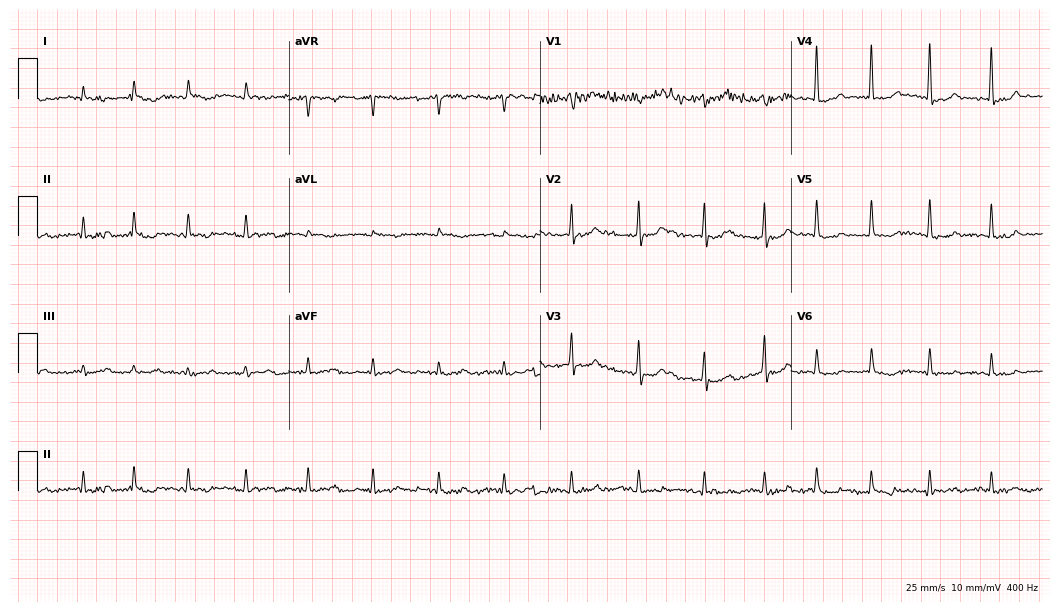
12-lead ECG (10.2-second recording at 400 Hz) from a man, 85 years old. Findings include atrial fibrillation.